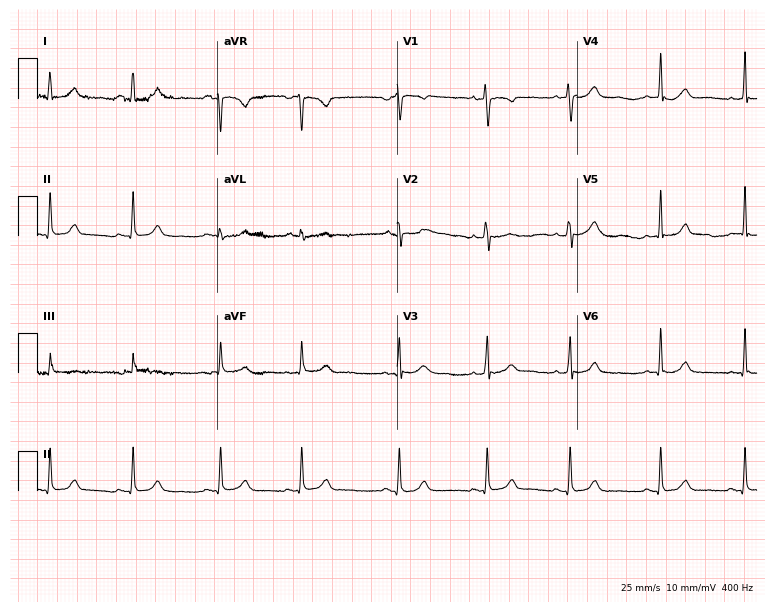
Electrocardiogram (7.3-second recording at 400 Hz), a 25-year-old woman. Overall reading on record: normal ECG.